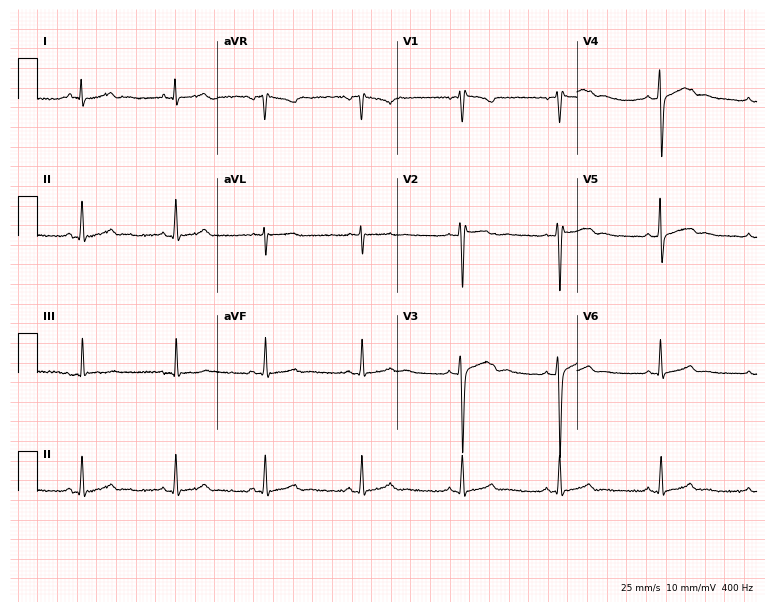
Electrocardiogram (7.3-second recording at 400 Hz), a 27-year-old female patient. Overall reading on record: normal ECG.